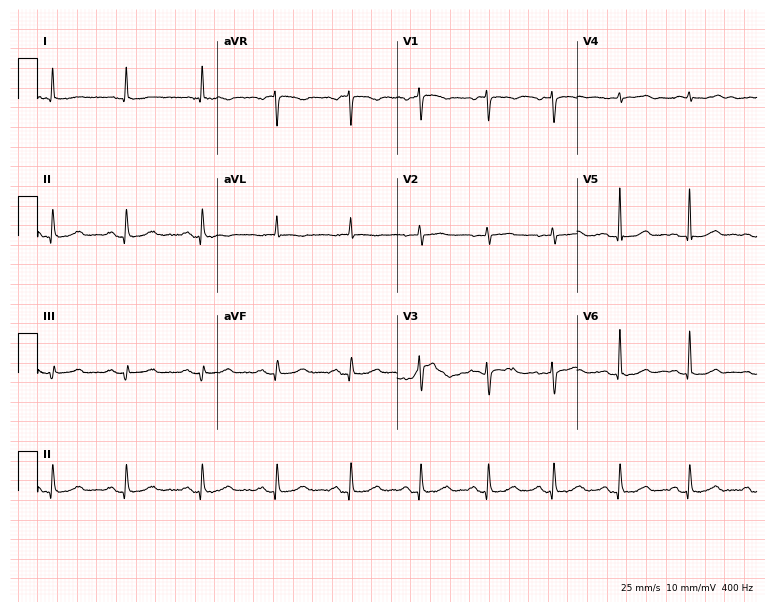
ECG (7.3-second recording at 400 Hz) — a woman, 51 years old. Screened for six findings — first-degree AV block, right bundle branch block, left bundle branch block, sinus bradycardia, atrial fibrillation, sinus tachycardia — none is recorded.